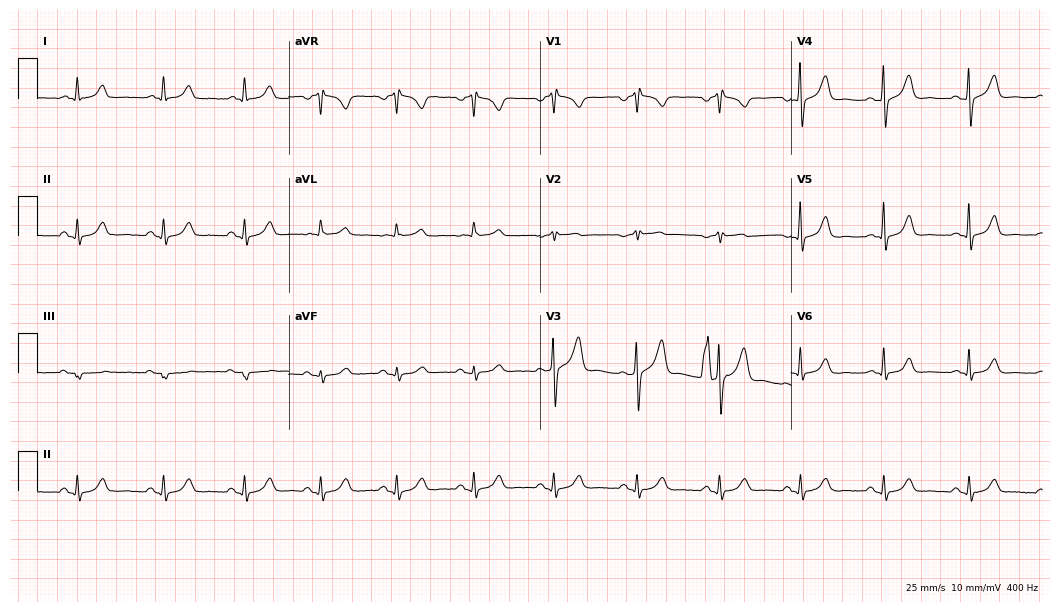
Standard 12-lead ECG recorded from a male patient, 64 years old (10.2-second recording at 400 Hz). None of these six findings is recorded: first-degree AV block, right bundle branch block (RBBB), left bundle branch block (LBBB), sinus bradycardia, atrial fibrillation (AF), sinus tachycardia.